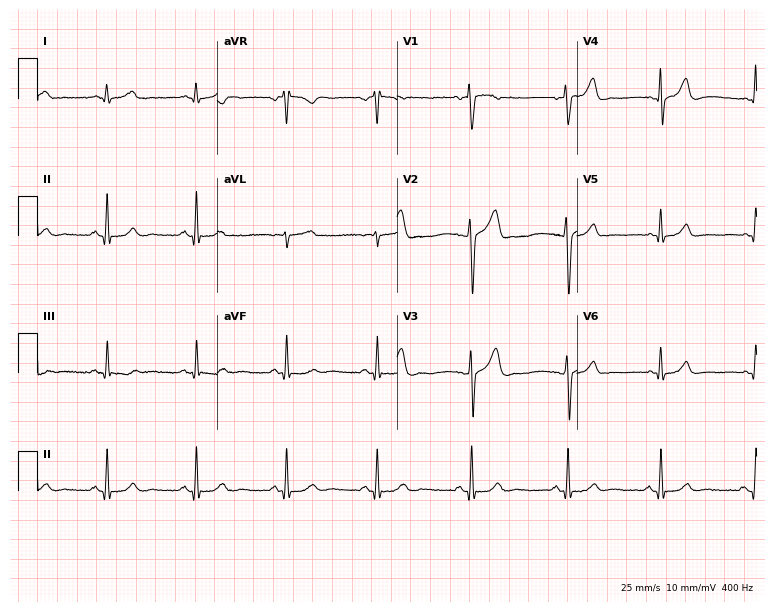
ECG (7.3-second recording at 400 Hz) — a male patient, 40 years old. Labelled as a normal ECG.